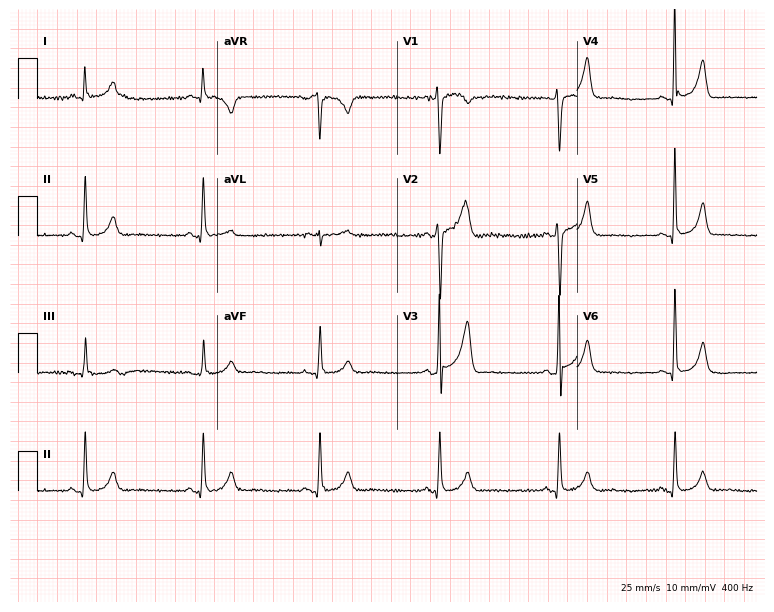
Resting 12-lead electrocardiogram (7.3-second recording at 400 Hz). Patient: a 55-year-old man. Read as a normal ECG.